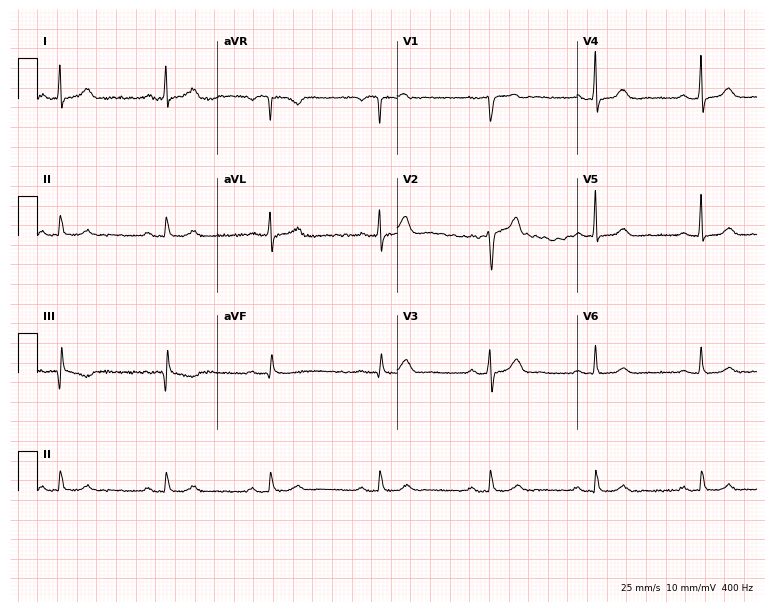
Resting 12-lead electrocardiogram. Patient: a 54-year-old man. None of these six findings is recorded: first-degree AV block, right bundle branch block, left bundle branch block, sinus bradycardia, atrial fibrillation, sinus tachycardia. Only these six findings were labelled.